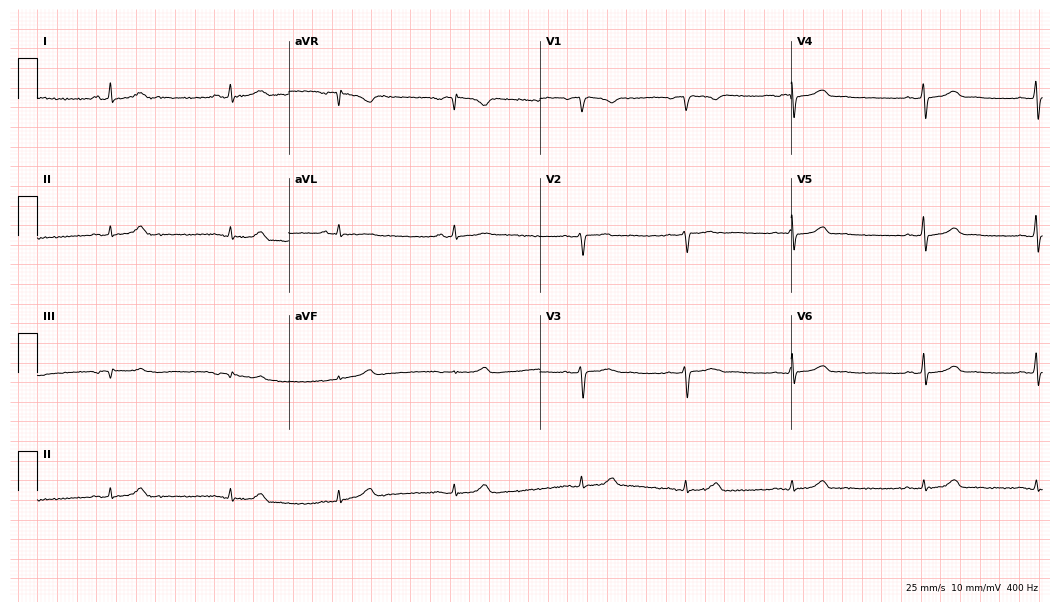
12-lead ECG from a 35-year-old female patient (10.2-second recording at 400 Hz). Recorded interpretation: within normal limits.